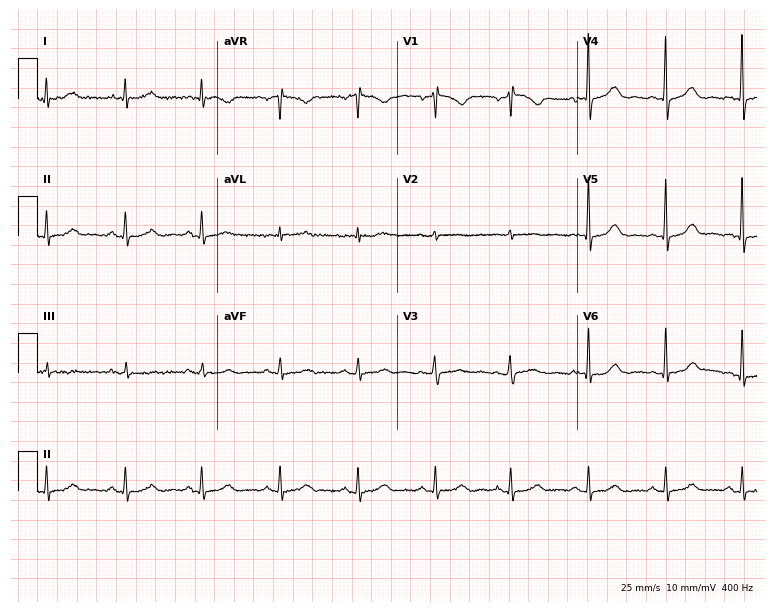
ECG — a female patient, 63 years old. Labelled as a normal ECG.